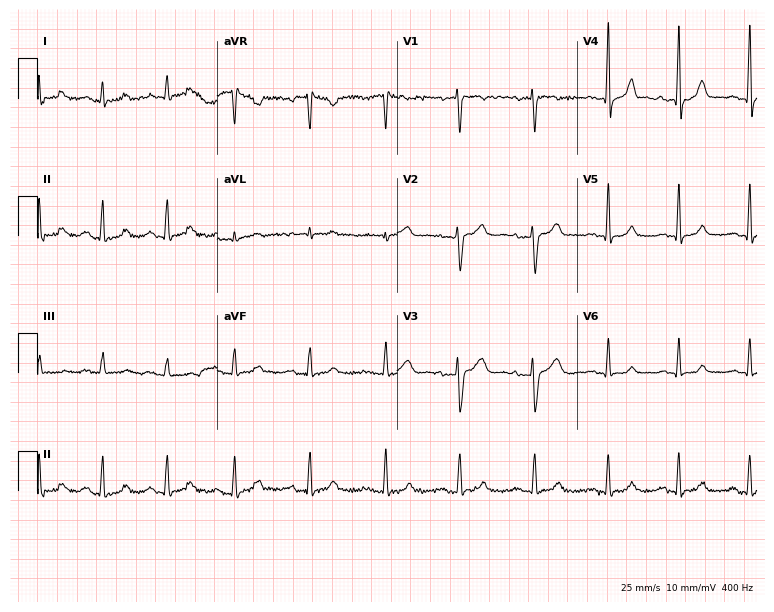
Electrocardiogram (7.3-second recording at 400 Hz), a 34-year-old female. Overall reading on record: normal ECG.